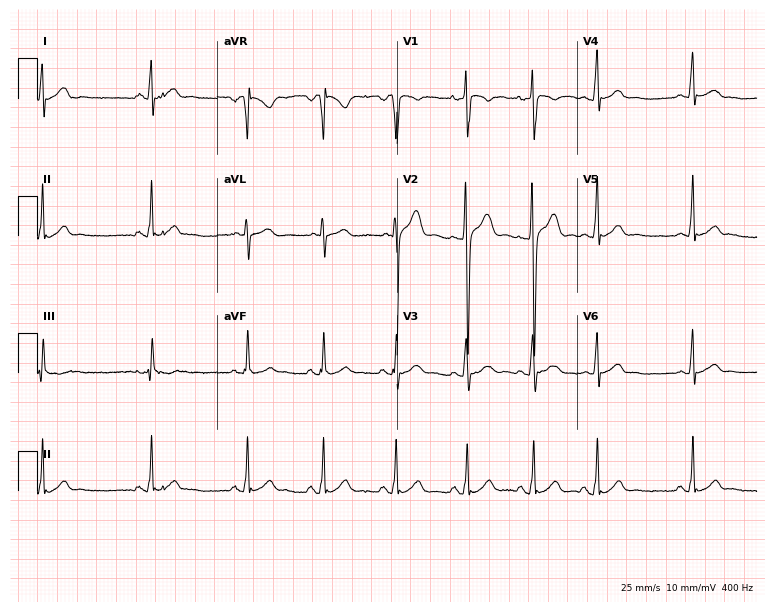
12-lead ECG from a 17-year-old male patient. Recorded interpretation: within normal limits.